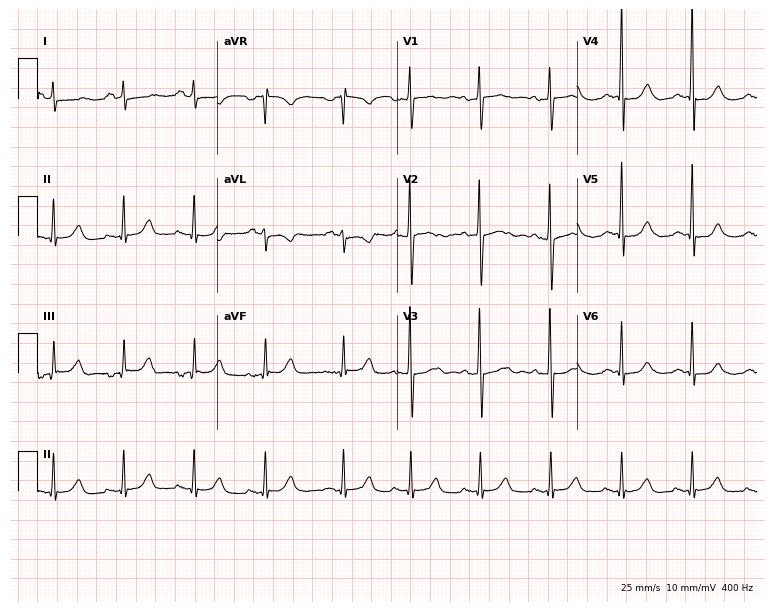
ECG (7.3-second recording at 400 Hz) — a woman, 28 years old. Labelled as a normal ECG.